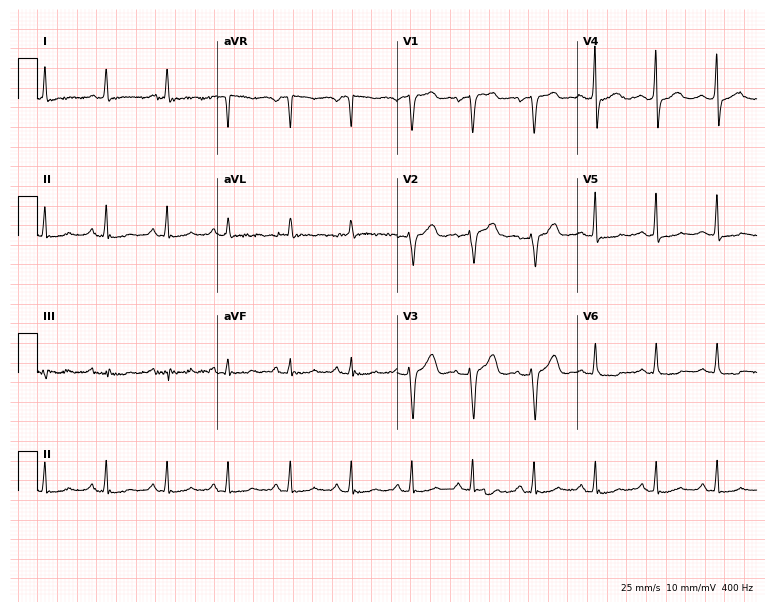
12-lead ECG from a woman, 65 years old (7.3-second recording at 400 Hz). Recorded interpretation: within normal limits.